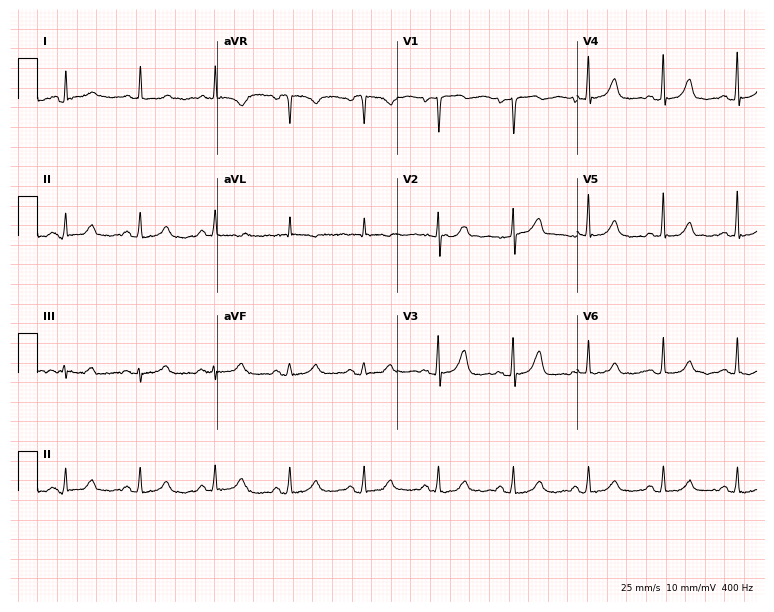
Electrocardiogram, a 69-year-old female. Of the six screened findings (first-degree AV block, right bundle branch block (RBBB), left bundle branch block (LBBB), sinus bradycardia, atrial fibrillation (AF), sinus tachycardia), none is recorded.